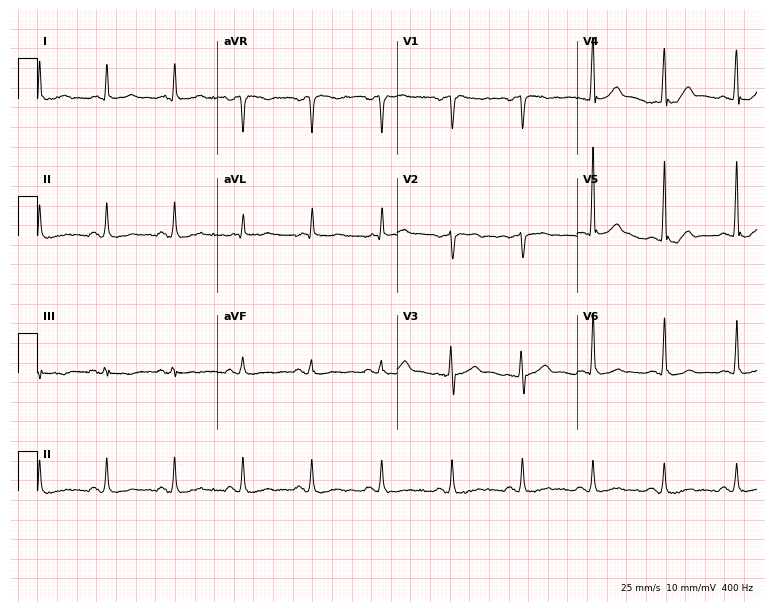
12-lead ECG from a 54-year-old male patient (7.3-second recording at 400 Hz). No first-degree AV block, right bundle branch block (RBBB), left bundle branch block (LBBB), sinus bradycardia, atrial fibrillation (AF) or sinus tachycardia recorded for this tracing.